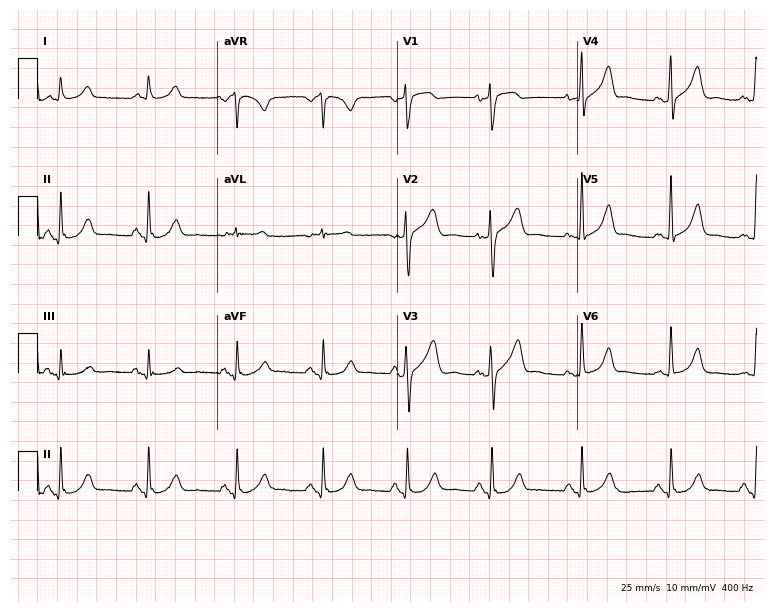
Electrocardiogram (7.3-second recording at 400 Hz), a 72-year-old male. Of the six screened findings (first-degree AV block, right bundle branch block, left bundle branch block, sinus bradycardia, atrial fibrillation, sinus tachycardia), none is recorded. Findings outside these six are not listed.